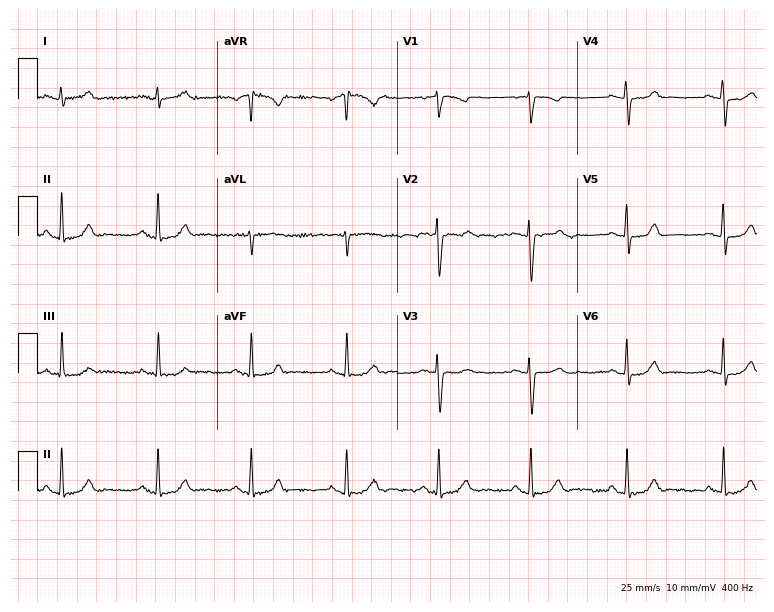
Resting 12-lead electrocardiogram. Patient: a female, 40 years old. Read as a normal ECG.